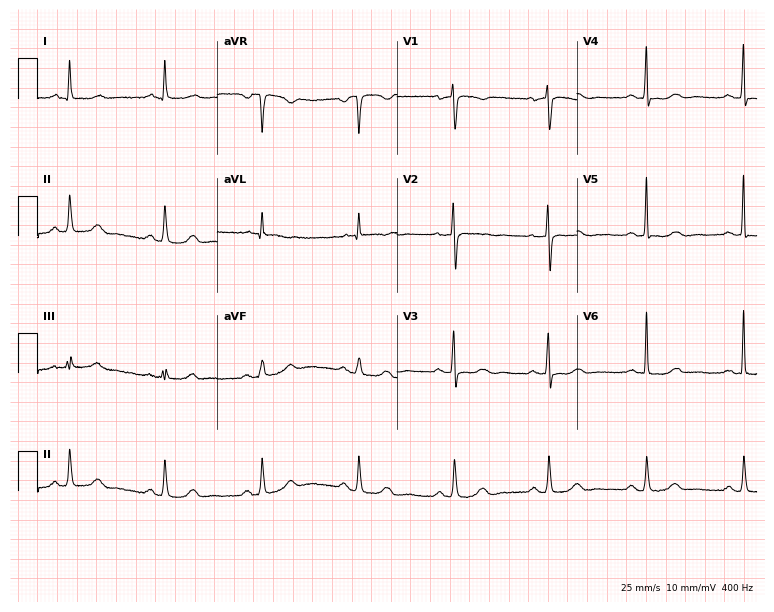
Electrocardiogram, a 59-year-old woman. Of the six screened findings (first-degree AV block, right bundle branch block (RBBB), left bundle branch block (LBBB), sinus bradycardia, atrial fibrillation (AF), sinus tachycardia), none is recorded.